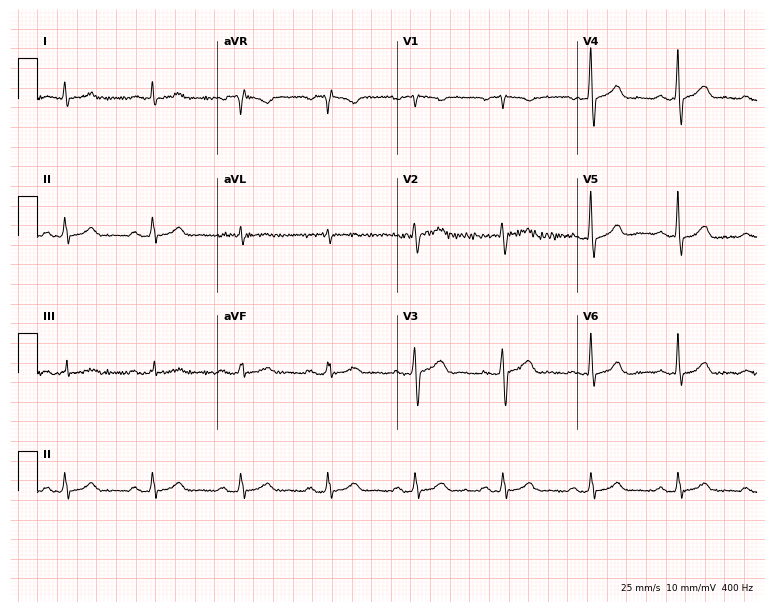
12-lead ECG (7.3-second recording at 400 Hz) from a 60-year-old male. Screened for six findings — first-degree AV block, right bundle branch block, left bundle branch block, sinus bradycardia, atrial fibrillation, sinus tachycardia — none is recorded. Only these six findings were labelled.